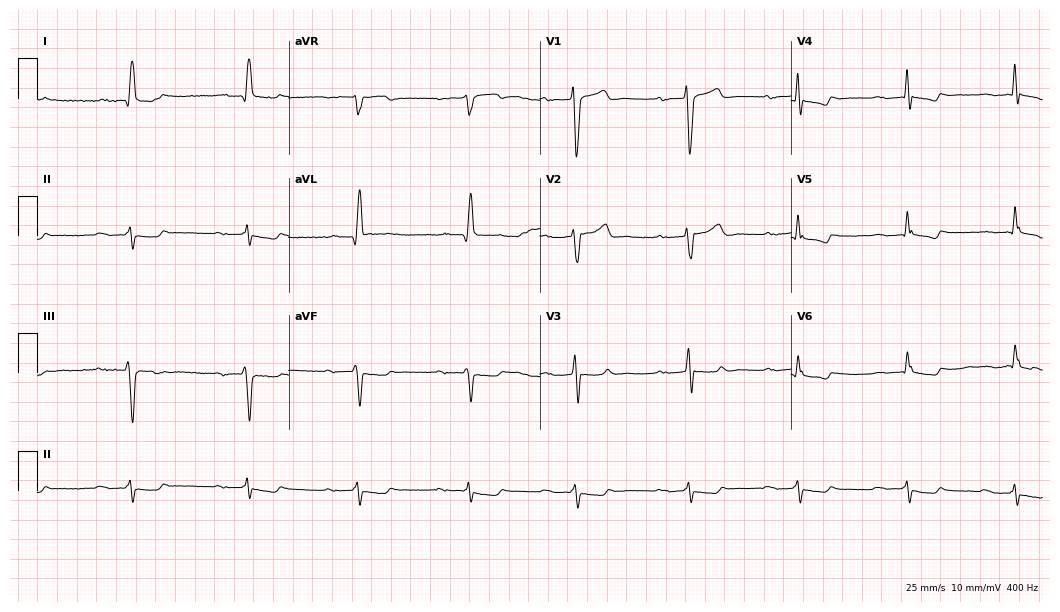
Electrocardiogram, a man, 80 years old. Interpretation includes first-degree AV block, left bundle branch block.